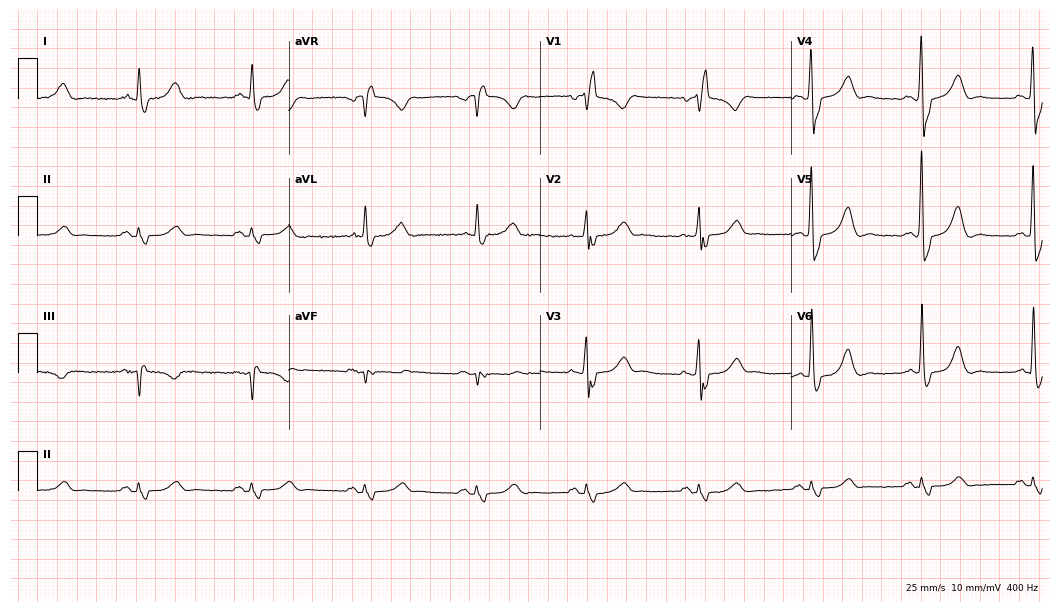
Standard 12-lead ECG recorded from a 79-year-old female (10.2-second recording at 400 Hz). The tracing shows right bundle branch block.